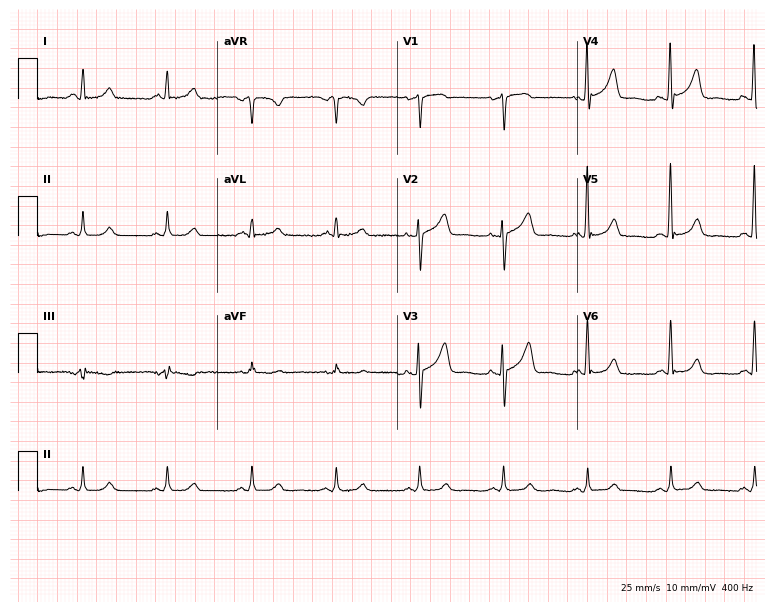
Standard 12-lead ECG recorded from a 61-year-old male patient. Read as a normal ECG.